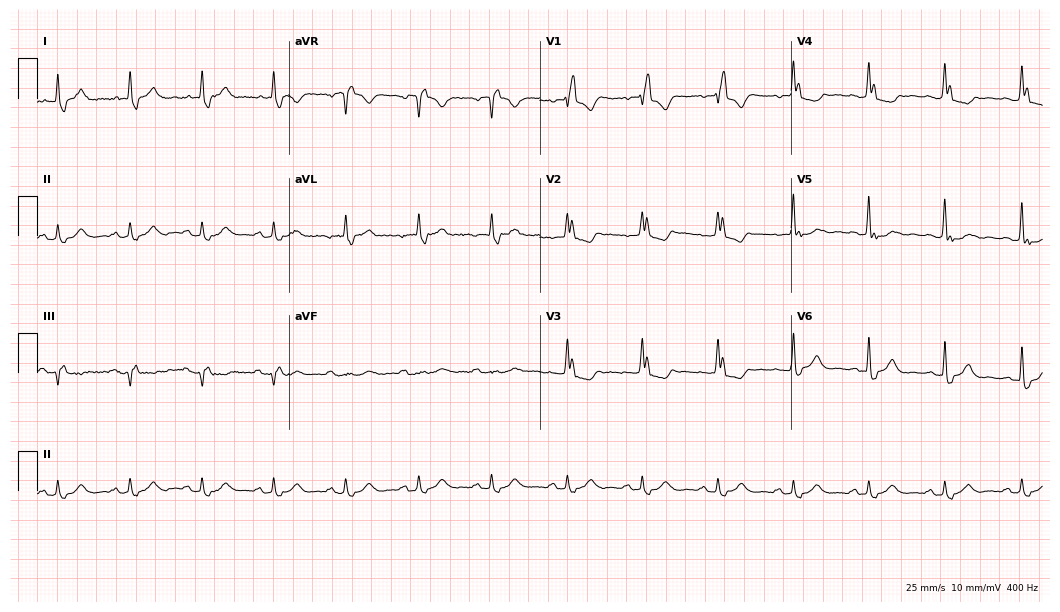
12-lead ECG from an 81-year-old woman (10.2-second recording at 400 Hz). Shows right bundle branch block (RBBB).